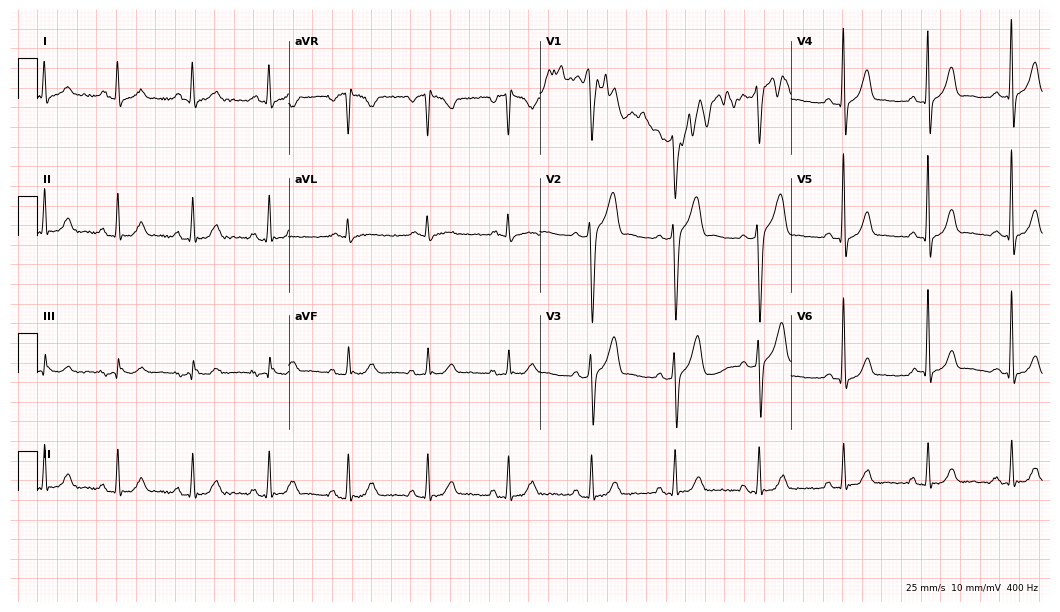
ECG — a man, 58 years old. Labelled as a normal ECG.